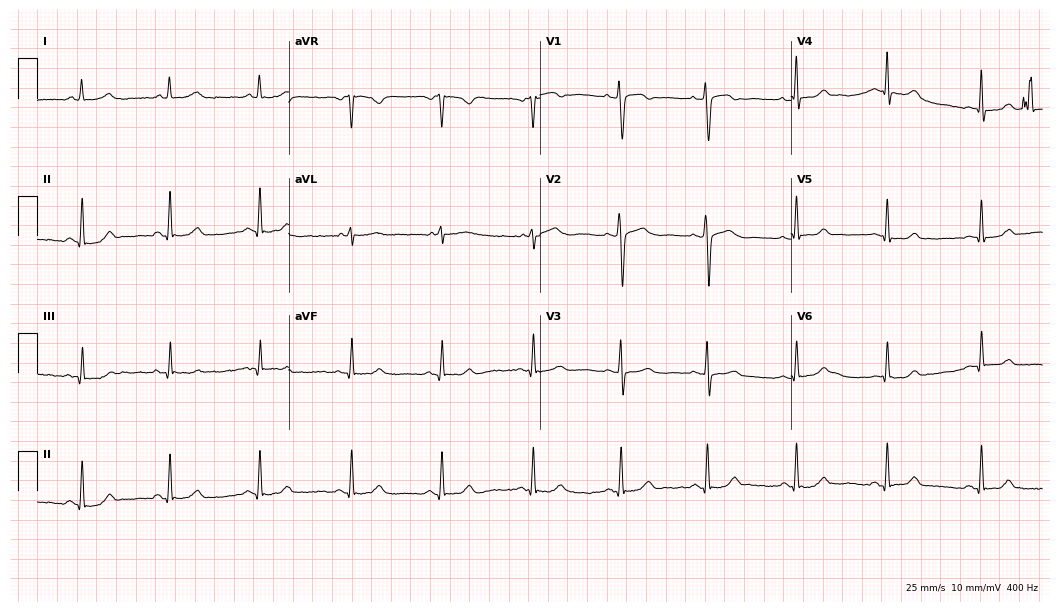
Standard 12-lead ECG recorded from a female patient, 50 years old (10.2-second recording at 400 Hz). Read as a normal ECG.